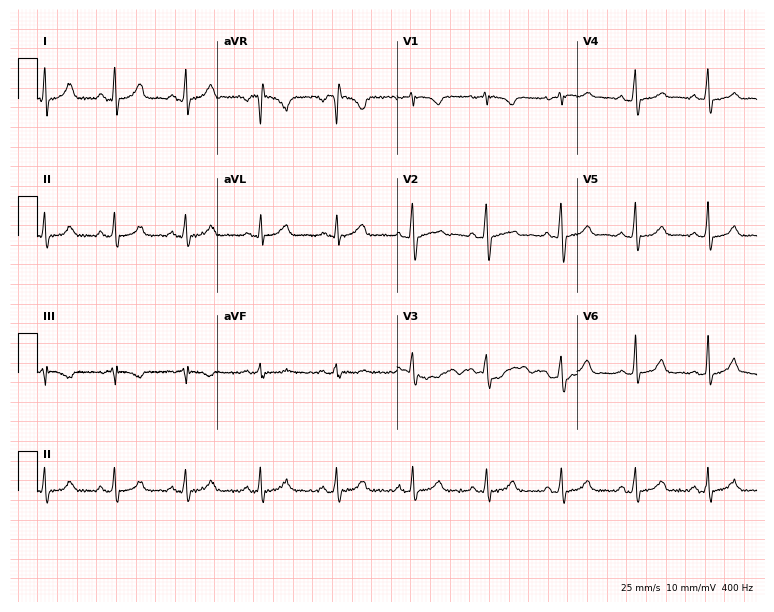
ECG (7.3-second recording at 400 Hz) — a 20-year-old female patient. Labelled as a normal ECG.